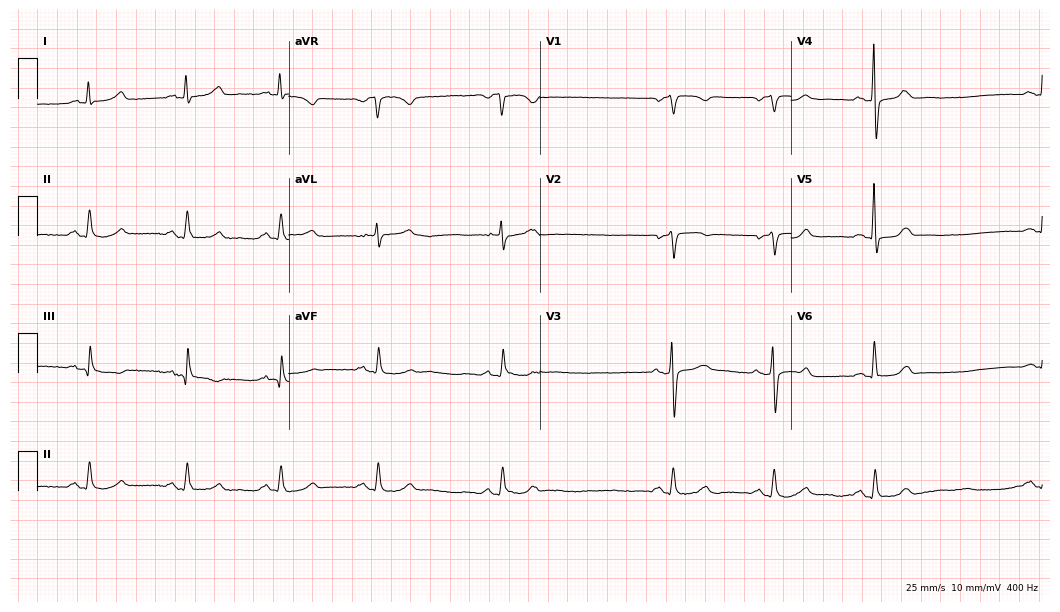
12-lead ECG from a woman, 79 years old (10.2-second recording at 400 Hz). No first-degree AV block, right bundle branch block, left bundle branch block, sinus bradycardia, atrial fibrillation or sinus tachycardia recorded for this tracing. Findings outside these six are not listed.